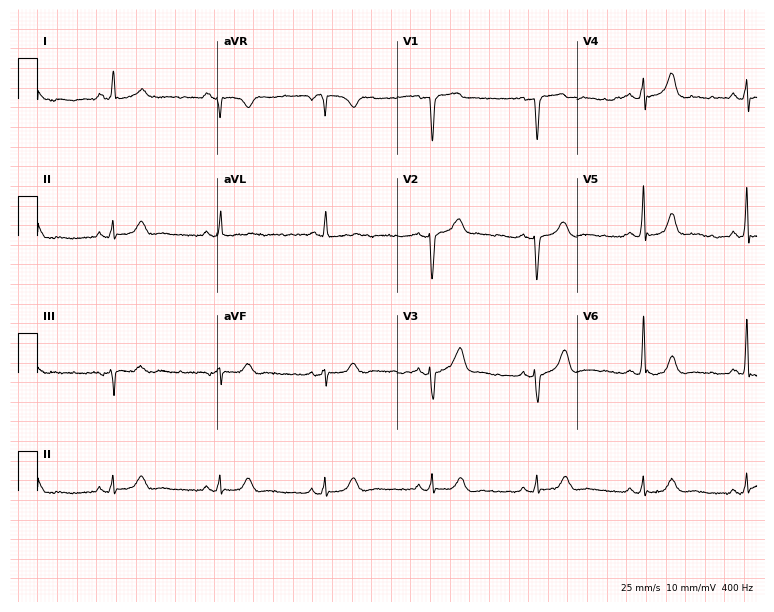
12-lead ECG from an 80-year-old male patient. No first-degree AV block, right bundle branch block, left bundle branch block, sinus bradycardia, atrial fibrillation or sinus tachycardia recorded for this tracing. Only these six findings were labelled.